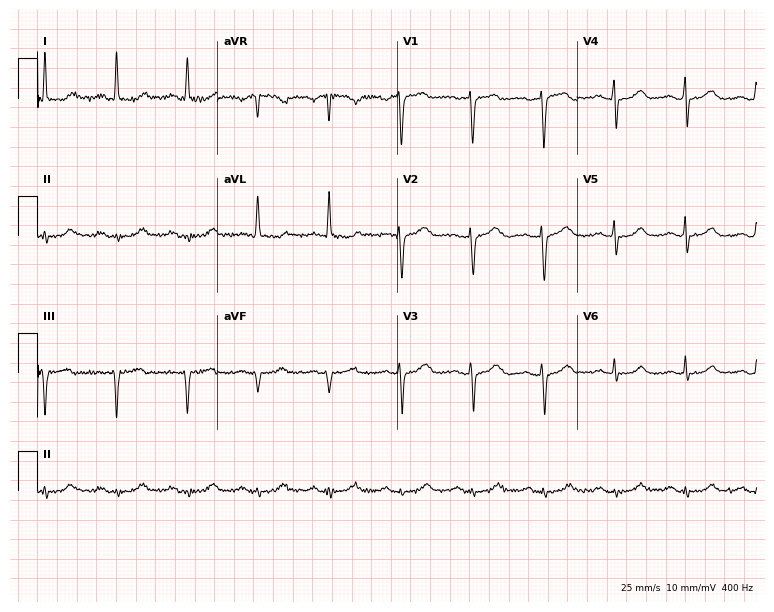
ECG (7.3-second recording at 400 Hz) — a 57-year-old female patient. Labelled as a normal ECG.